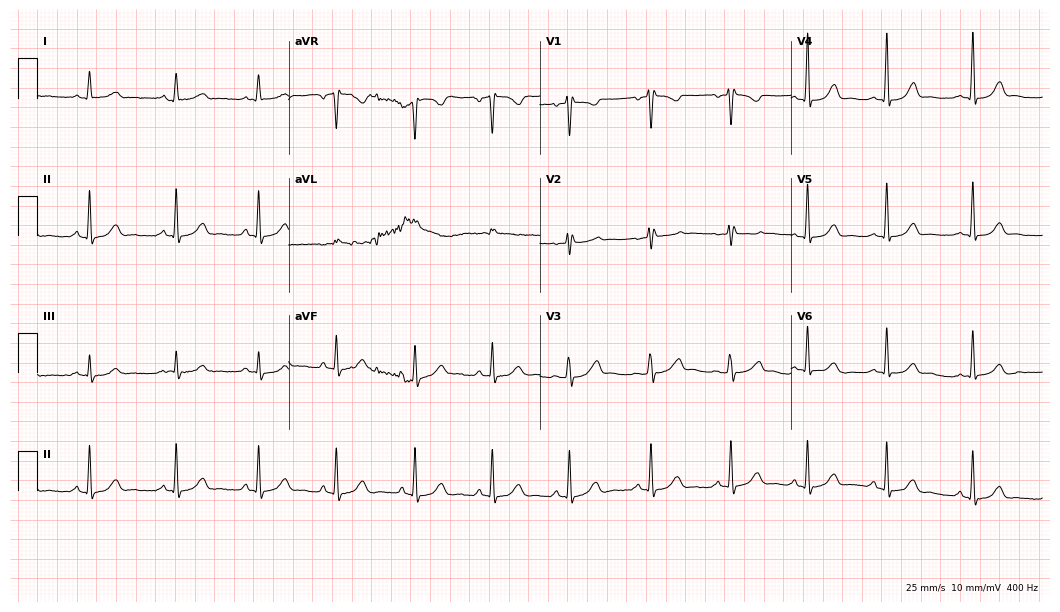
ECG — a 35-year-old woman. Screened for six findings — first-degree AV block, right bundle branch block, left bundle branch block, sinus bradycardia, atrial fibrillation, sinus tachycardia — none is recorded. Other findings, if any, are not listed.